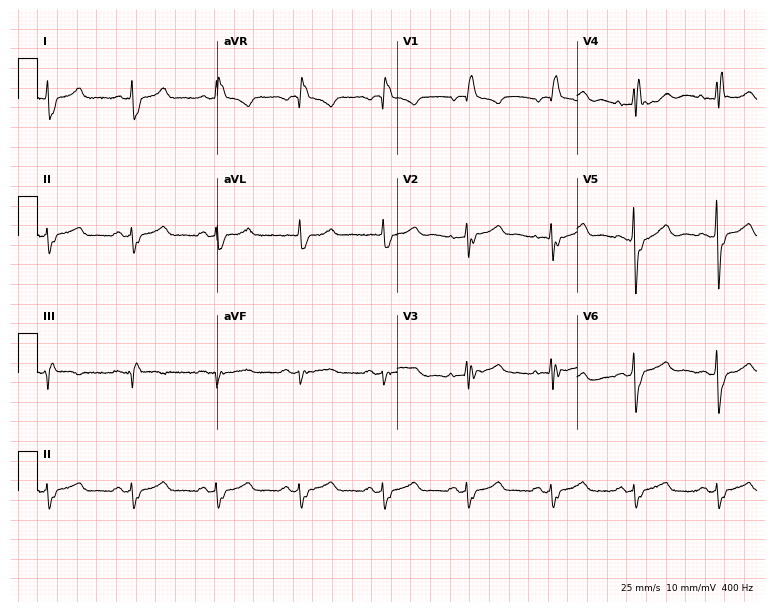
Standard 12-lead ECG recorded from a female patient, 61 years old (7.3-second recording at 400 Hz). The tracing shows right bundle branch block (RBBB).